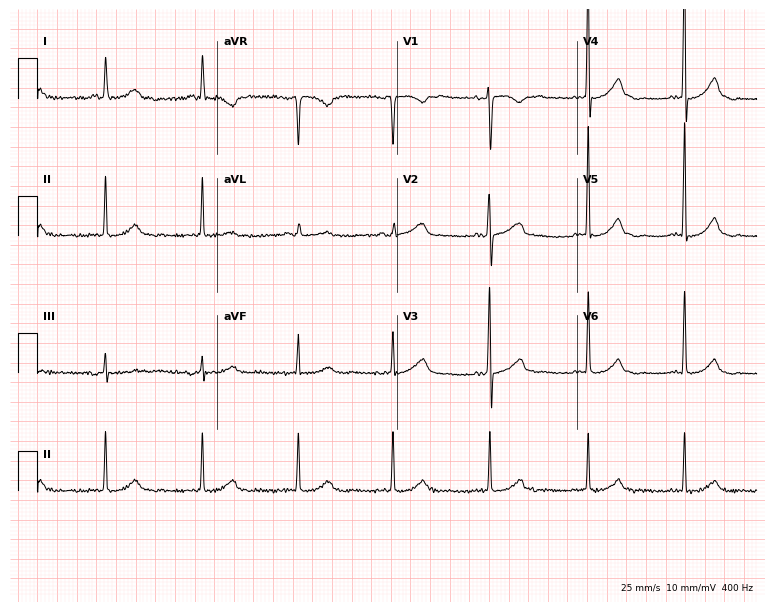
12-lead ECG from a woman, 49 years old. Recorded interpretation: within normal limits.